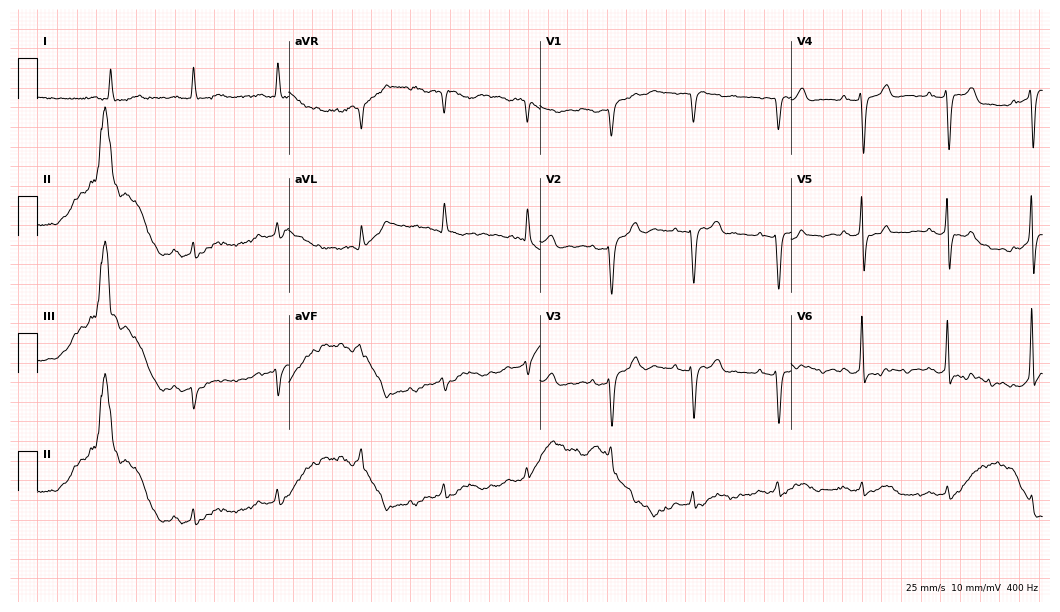
Resting 12-lead electrocardiogram (10.2-second recording at 400 Hz). Patient: an 80-year-old man. None of these six findings is recorded: first-degree AV block, right bundle branch block, left bundle branch block, sinus bradycardia, atrial fibrillation, sinus tachycardia.